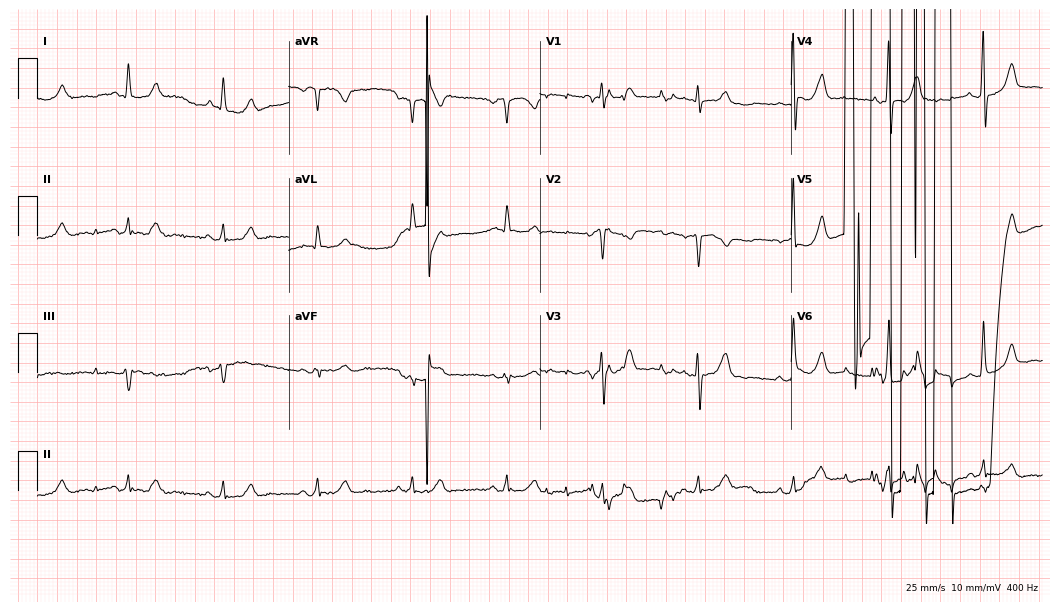
12-lead ECG from a male patient, 63 years old (10.2-second recording at 400 Hz). No first-degree AV block, right bundle branch block, left bundle branch block, sinus bradycardia, atrial fibrillation or sinus tachycardia recorded for this tracing.